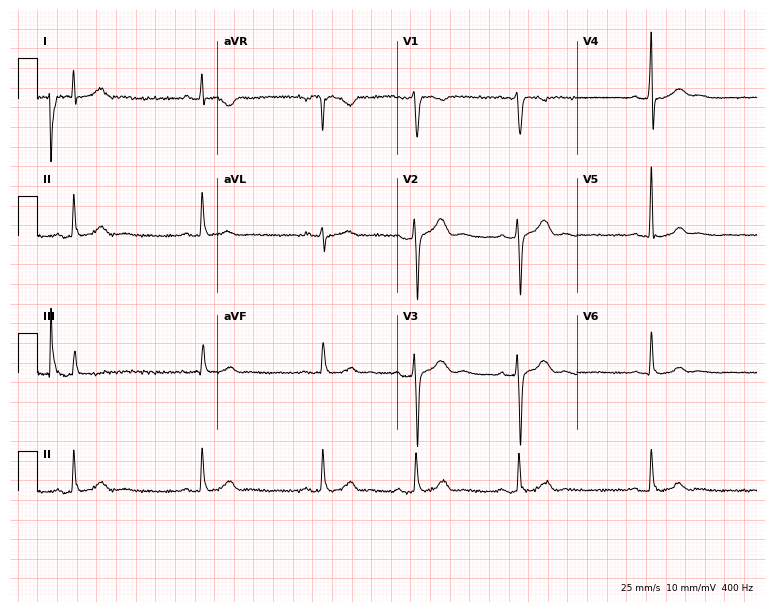
Electrocardiogram (7.3-second recording at 400 Hz), a male patient, 37 years old. Of the six screened findings (first-degree AV block, right bundle branch block (RBBB), left bundle branch block (LBBB), sinus bradycardia, atrial fibrillation (AF), sinus tachycardia), none is recorded. Findings outside these six are not listed.